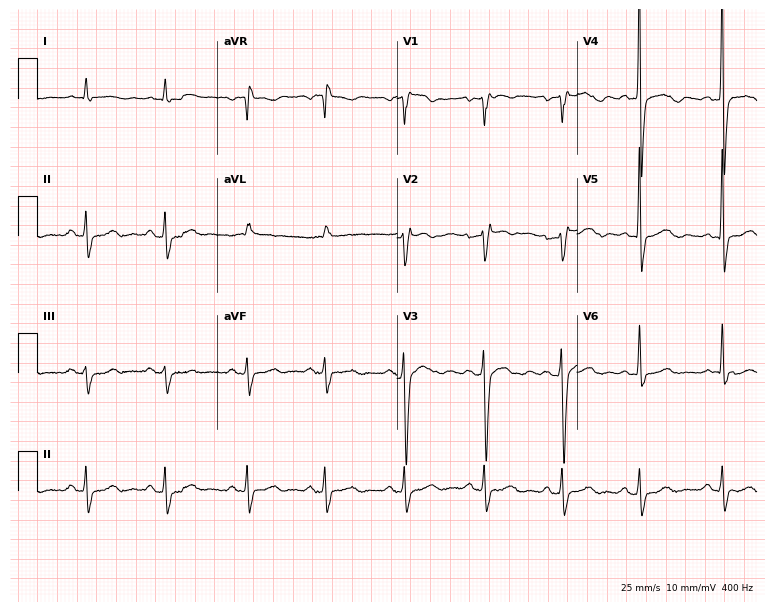
Electrocardiogram (7.3-second recording at 400 Hz), a male patient, 42 years old. Of the six screened findings (first-degree AV block, right bundle branch block, left bundle branch block, sinus bradycardia, atrial fibrillation, sinus tachycardia), none is recorded. Only these six findings were labelled.